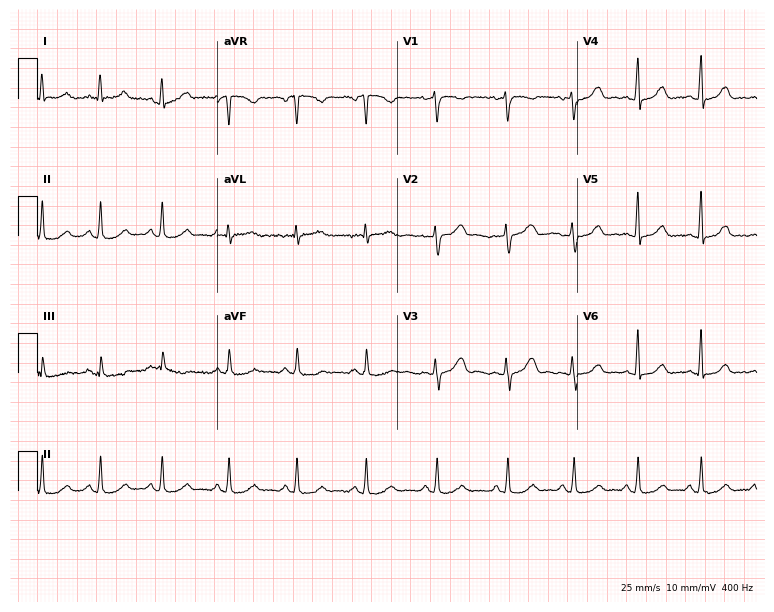
12-lead ECG from a woman, 42 years old (7.3-second recording at 400 Hz). Recorded interpretation: within normal limits.